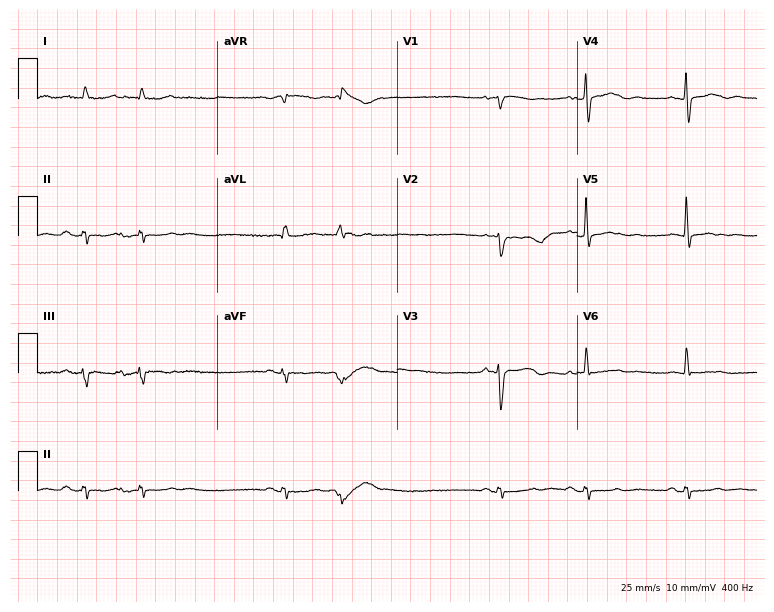
Electrocardiogram (7.3-second recording at 400 Hz), a 74-year-old female patient. Of the six screened findings (first-degree AV block, right bundle branch block (RBBB), left bundle branch block (LBBB), sinus bradycardia, atrial fibrillation (AF), sinus tachycardia), none is recorded. Only these six findings were labelled.